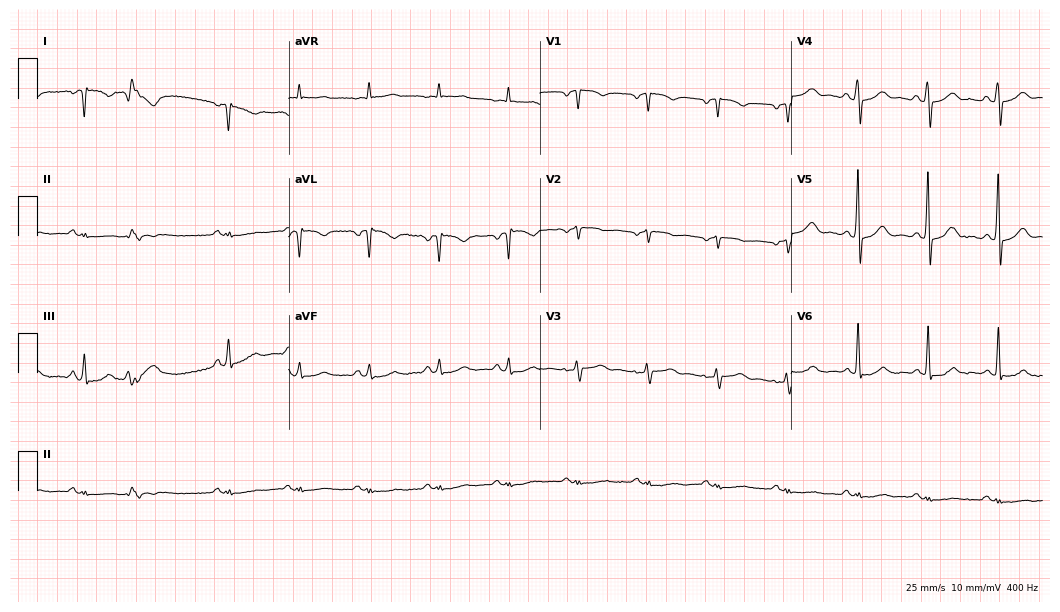
12-lead ECG from a 74-year-old man. Screened for six findings — first-degree AV block, right bundle branch block, left bundle branch block, sinus bradycardia, atrial fibrillation, sinus tachycardia — none is recorded. Only these six findings were labelled.